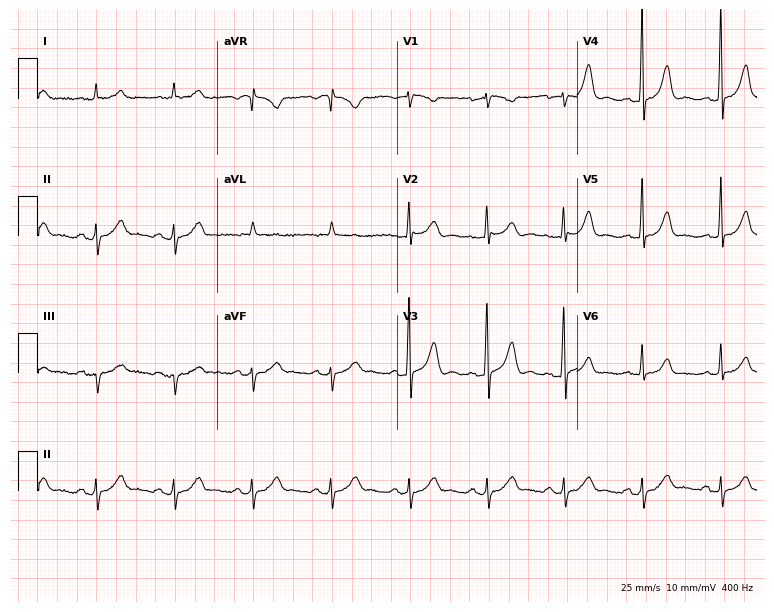
Resting 12-lead electrocardiogram. Patient: a male, 58 years old. Read as a normal ECG.